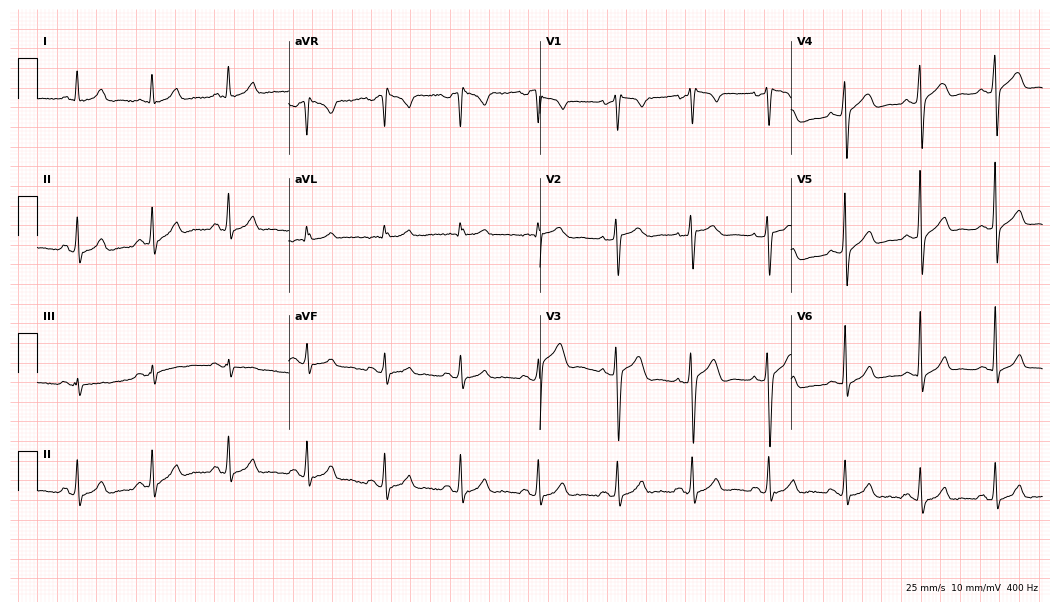
12-lead ECG (10.2-second recording at 400 Hz) from a 26-year-old male. Labelled as a normal ECG.